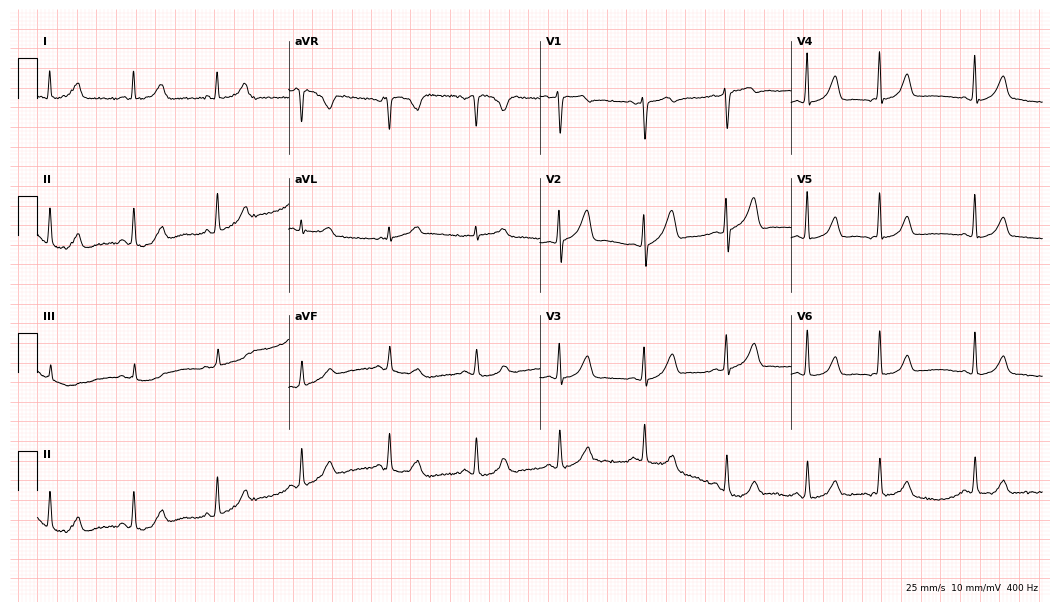
Resting 12-lead electrocardiogram (10.2-second recording at 400 Hz). Patient: a female, 41 years old. None of these six findings is recorded: first-degree AV block, right bundle branch block (RBBB), left bundle branch block (LBBB), sinus bradycardia, atrial fibrillation (AF), sinus tachycardia. Only these six findings were labelled.